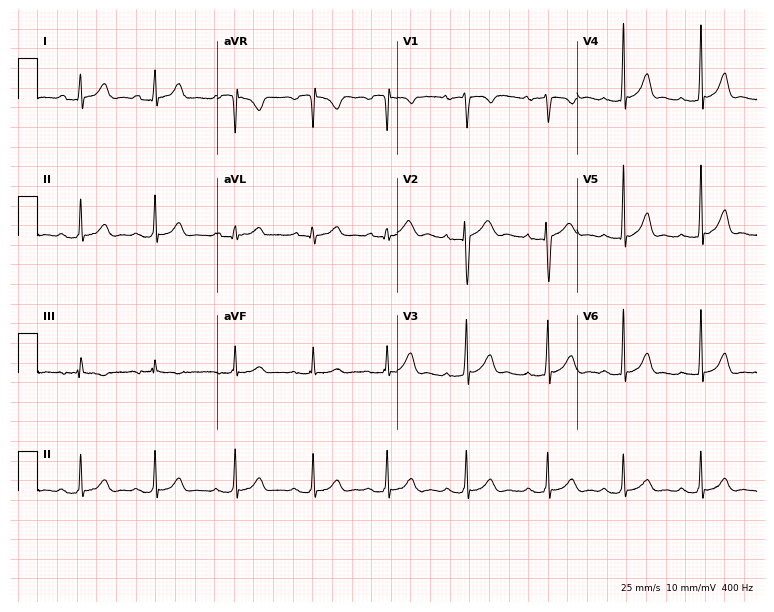
ECG (7.3-second recording at 400 Hz) — a female, 19 years old. Screened for six findings — first-degree AV block, right bundle branch block, left bundle branch block, sinus bradycardia, atrial fibrillation, sinus tachycardia — none is recorded. Other findings, if any, are not listed.